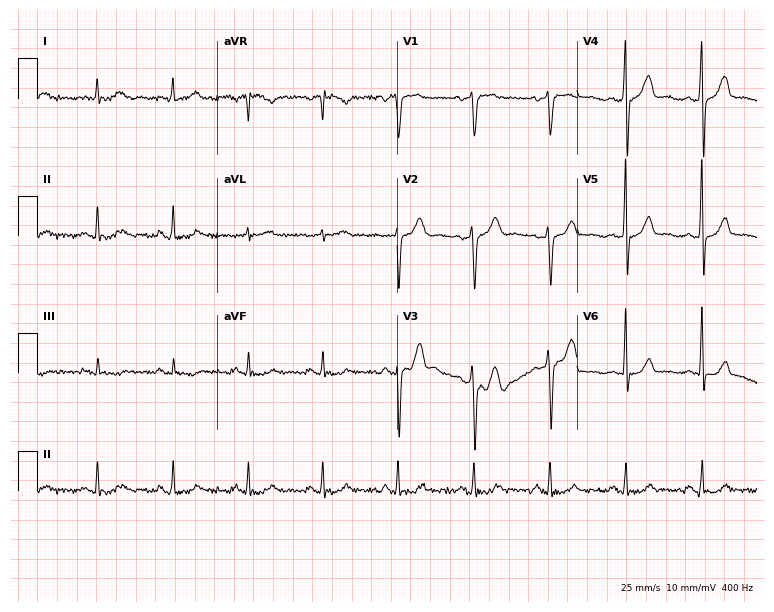
ECG — a 50-year-old male patient. Screened for six findings — first-degree AV block, right bundle branch block, left bundle branch block, sinus bradycardia, atrial fibrillation, sinus tachycardia — none is recorded. Other findings, if any, are not listed.